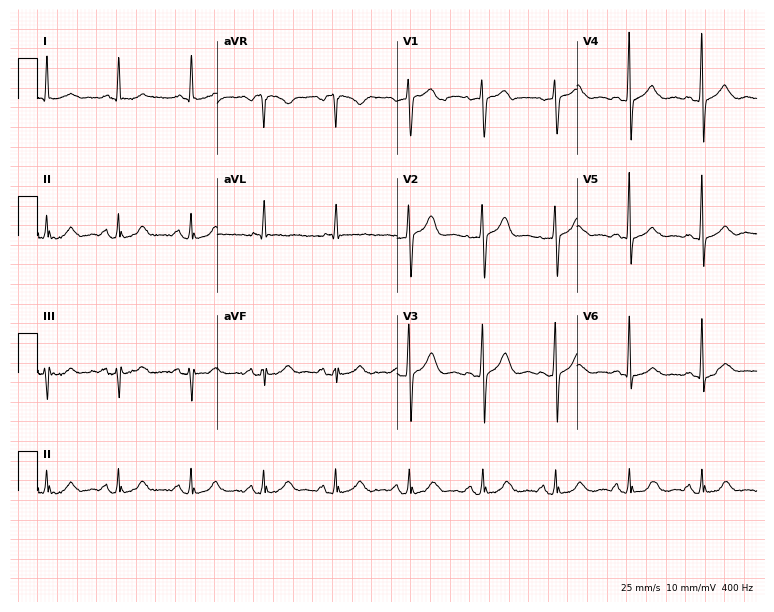
ECG — a woman, 59 years old. Screened for six findings — first-degree AV block, right bundle branch block, left bundle branch block, sinus bradycardia, atrial fibrillation, sinus tachycardia — none is recorded. Findings outside these six are not listed.